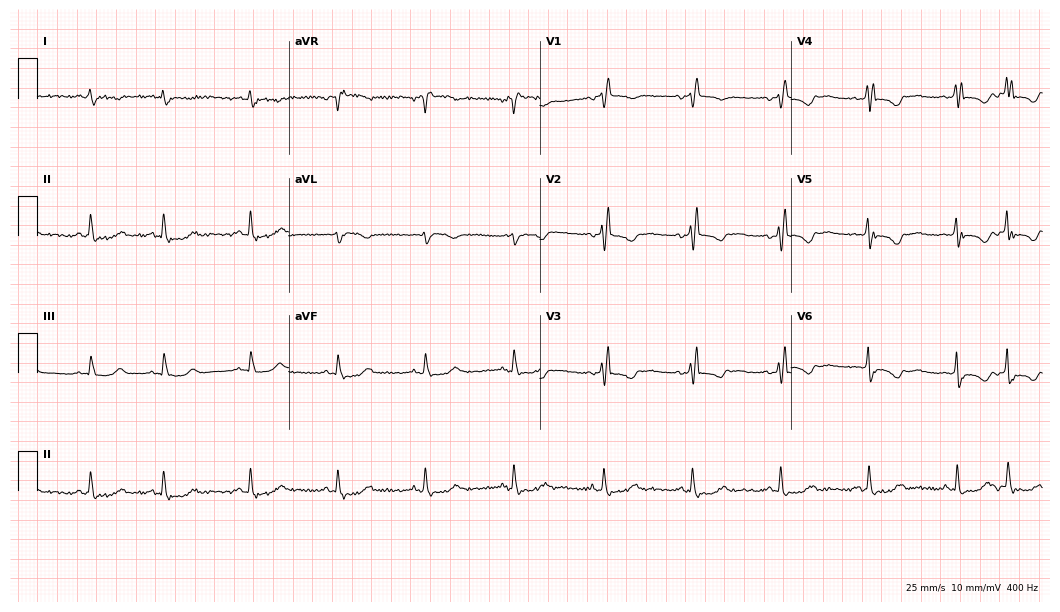
Electrocardiogram, a female, 60 years old. Interpretation includes right bundle branch block.